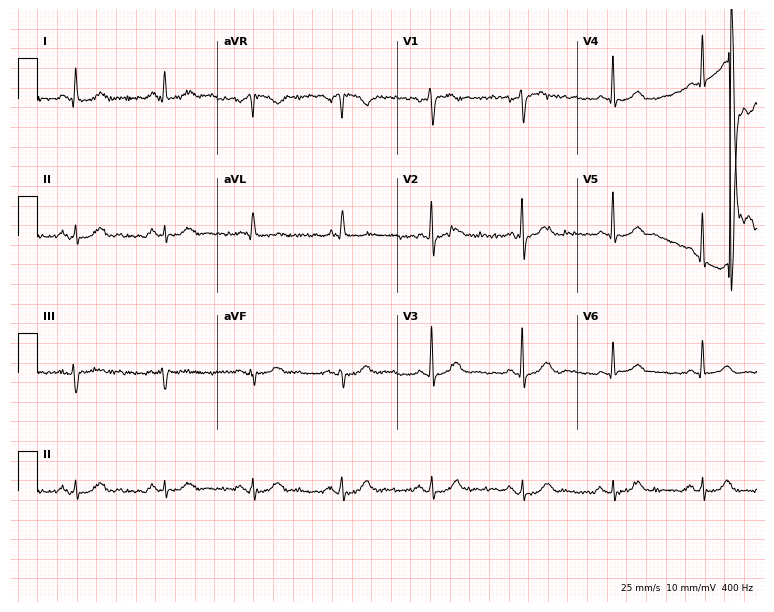
ECG (7.3-second recording at 400 Hz) — a male, 74 years old. Labelled as a normal ECG.